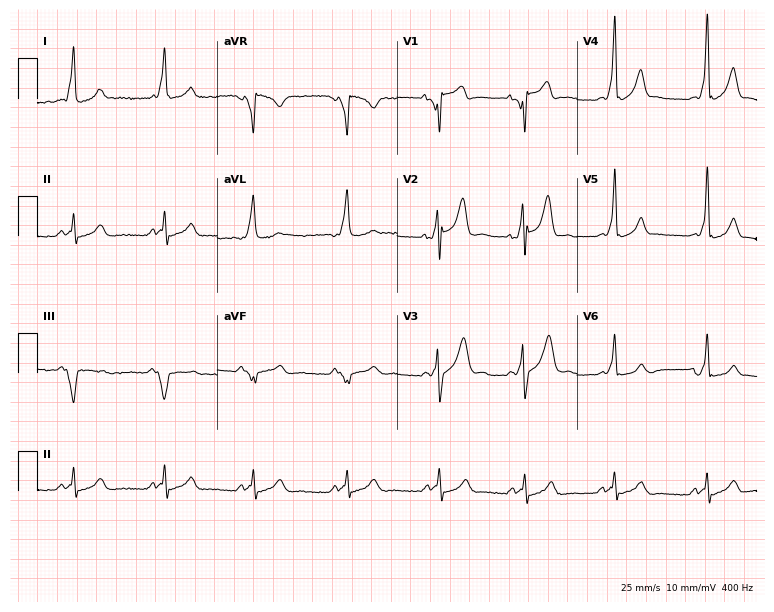
Electrocardiogram (7.3-second recording at 400 Hz), a 27-year-old male patient. Of the six screened findings (first-degree AV block, right bundle branch block (RBBB), left bundle branch block (LBBB), sinus bradycardia, atrial fibrillation (AF), sinus tachycardia), none is recorded. Other findings, if any, are not listed.